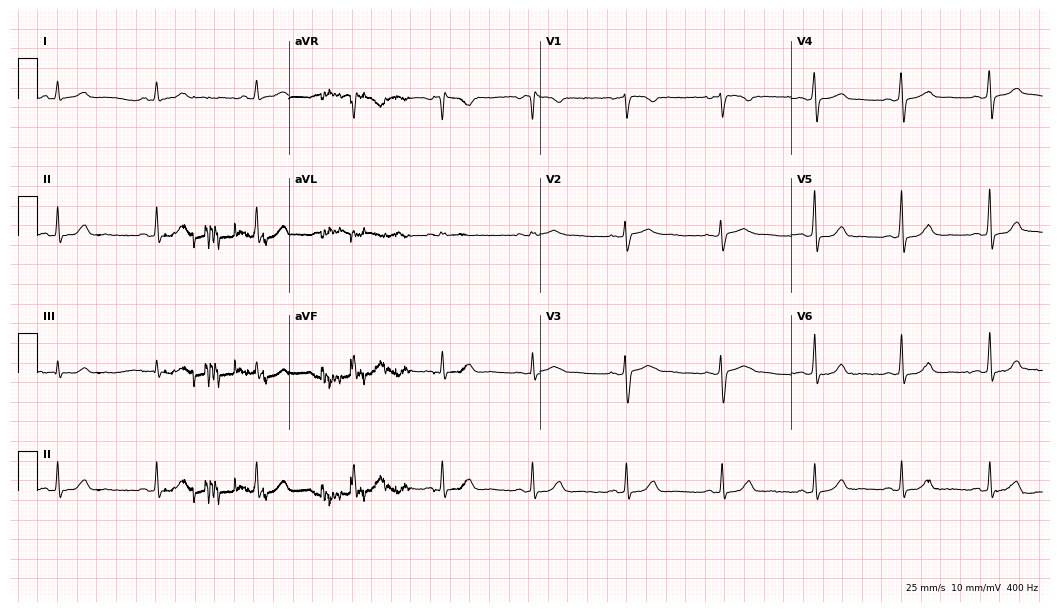
12-lead ECG from a woman, 35 years old (10.2-second recording at 400 Hz). Recorded interpretation: within normal limits.